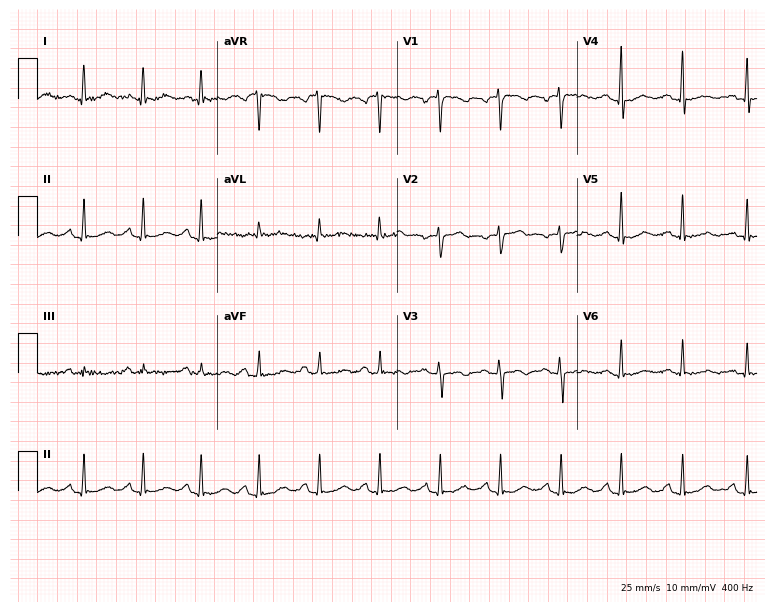
Standard 12-lead ECG recorded from a female patient, 59 years old (7.3-second recording at 400 Hz). None of these six findings is recorded: first-degree AV block, right bundle branch block (RBBB), left bundle branch block (LBBB), sinus bradycardia, atrial fibrillation (AF), sinus tachycardia. Other findings, if any, are not listed.